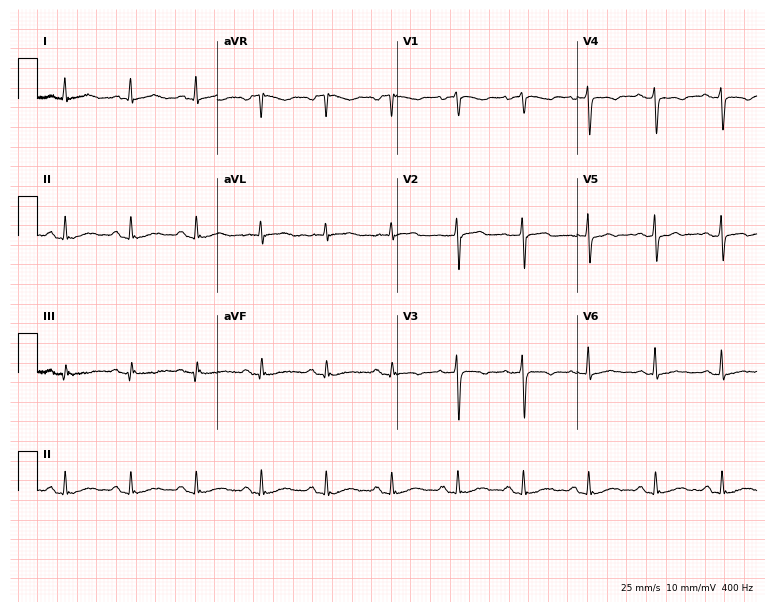
ECG (7.3-second recording at 400 Hz) — a woman, 59 years old. Screened for six findings — first-degree AV block, right bundle branch block, left bundle branch block, sinus bradycardia, atrial fibrillation, sinus tachycardia — none is recorded. Findings outside these six are not listed.